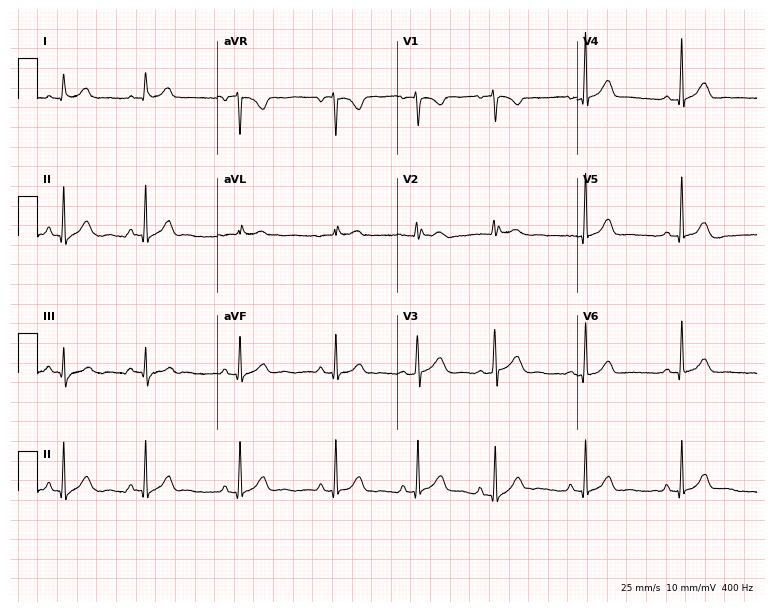
Resting 12-lead electrocardiogram (7.3-second recording at 400 Hz). Patient: a 42-year-old female. Read as a normal ECG.